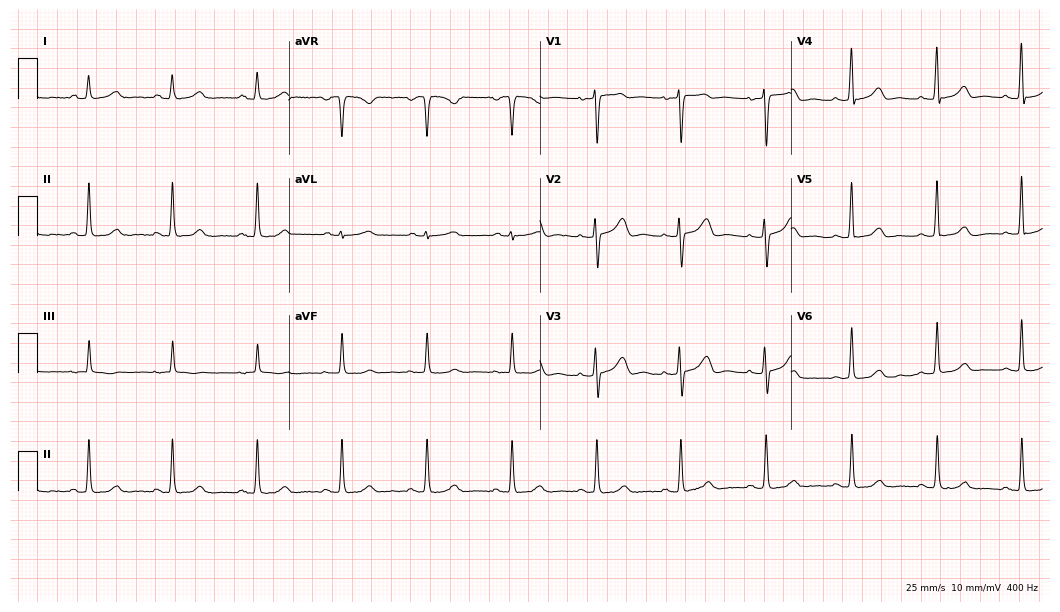
Standard 12-lead ECG recorded from a 56-year-old woman. None of these six findings is recorded: first-degree AV block, right bundle branch block (RBBB), left bundle branch block (LBBB), sinus bradycardia, atrial fibrillation (AF), sinus tachycardia.